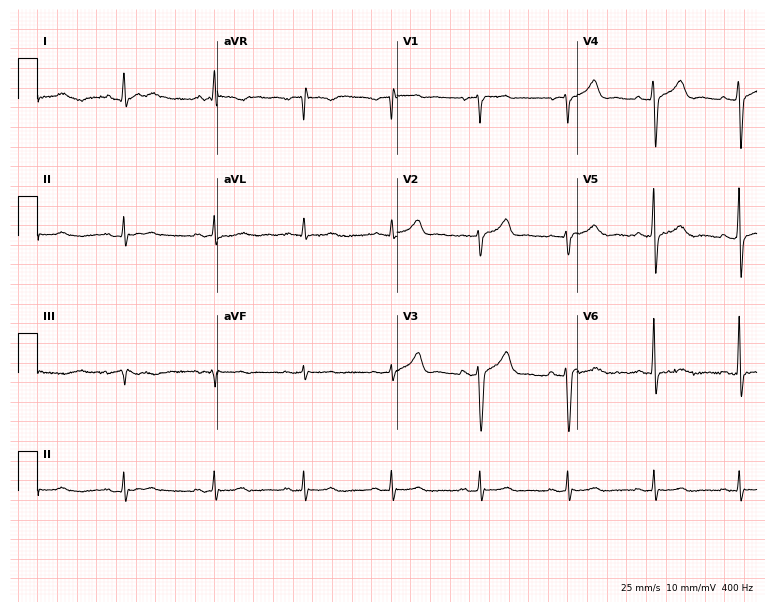
Resting 12-lead electrocardiogram. Patient: a 63-year-old male. Read as a normal ECG.